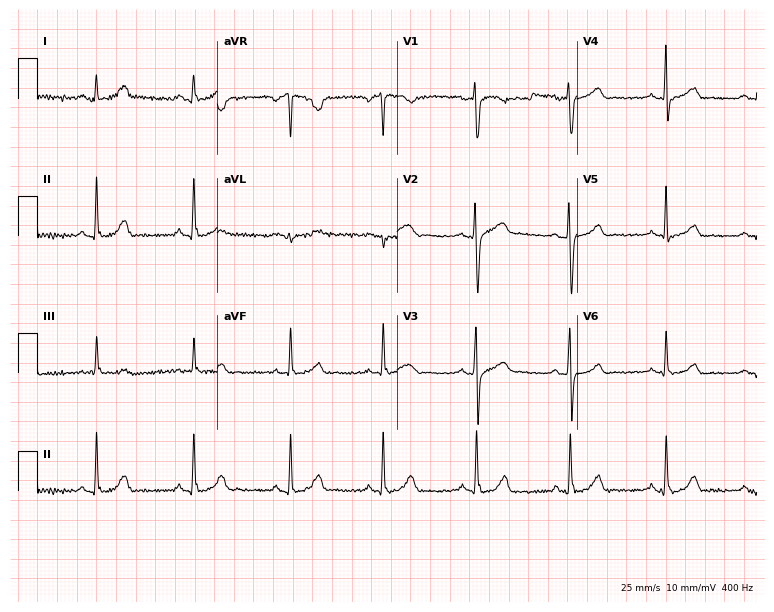
12-lead ECG (7.3-second recording at 400 Hz) from a female patient, 38 years old. Screened for six findings — first-degree AV block, right bundle branch block, left bundle branch block, sinus bradycardia, atrial fibrillation, sinus tachycardia — none is recorded. Findings outside these six are not listed.